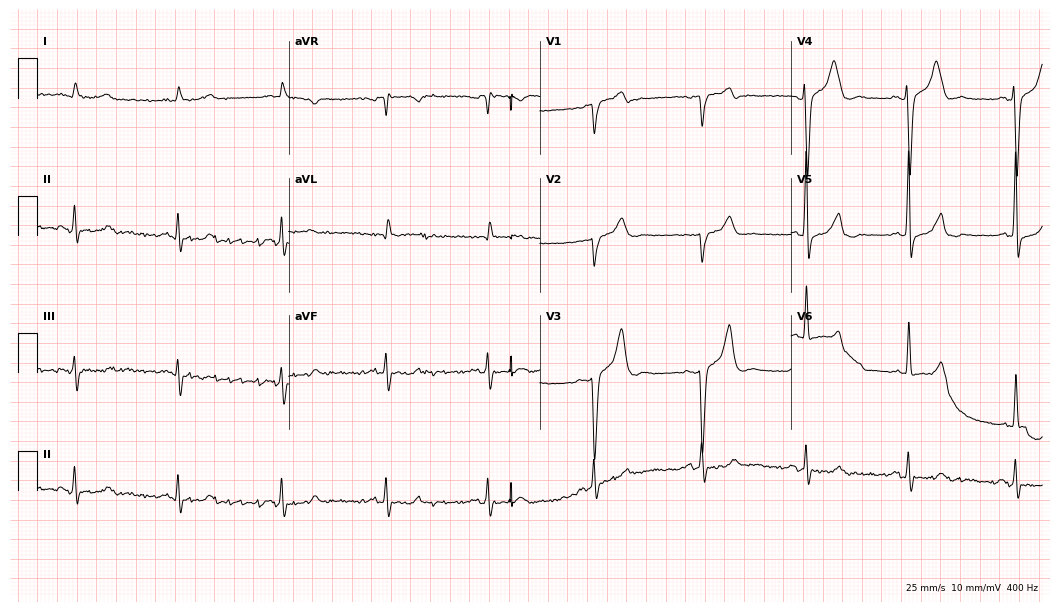
ECG (10.2-second recording at 400 Hz) — a 55-year-old male. Labelled as a normal ECG.